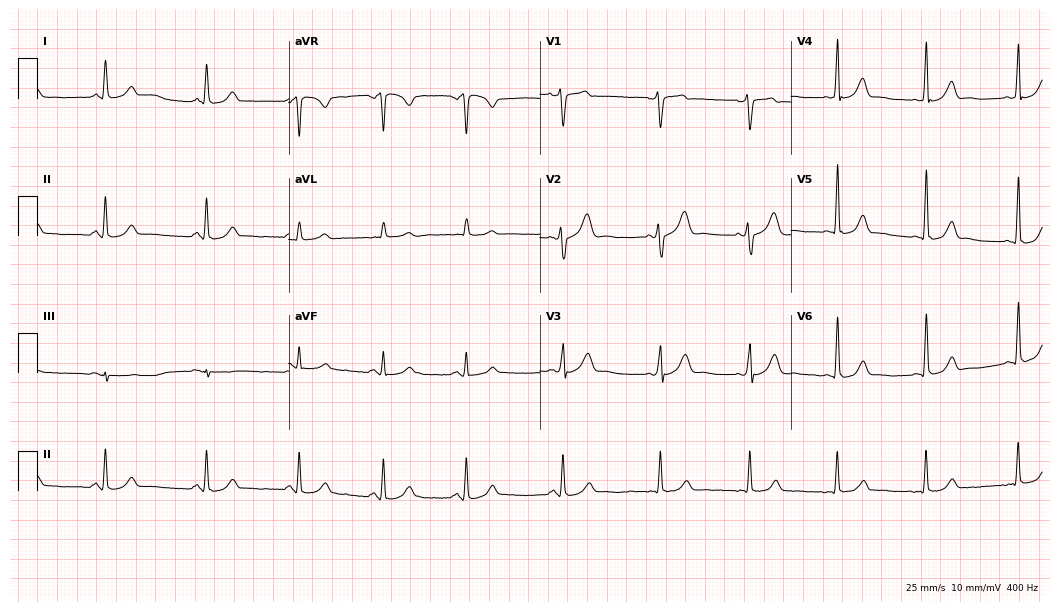
Electrocardiogram (10.2-second recording at 400 Hz), a female, 29 years old. Overall reading on record: normal ECG.